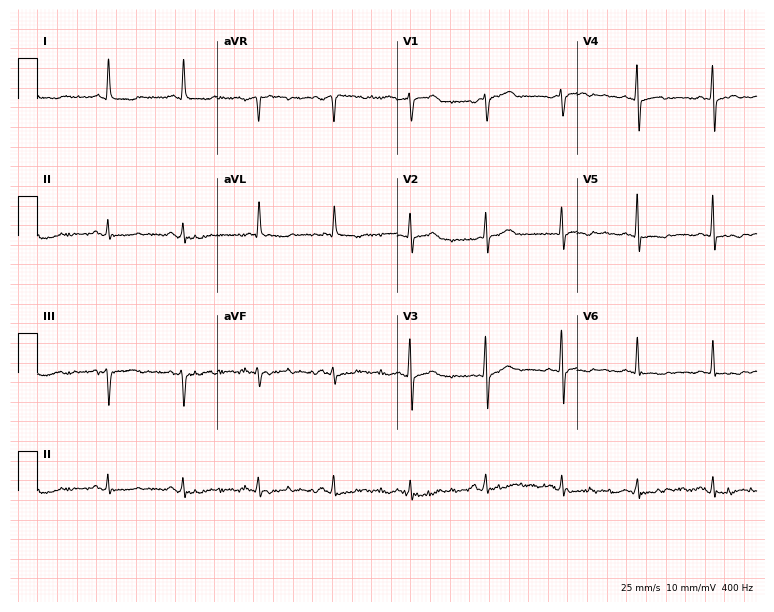
12-lead ECG from a female patient, 83 years old (7.3-second recording at 400 Hz). No first-degree AV block, right bundle branch block, left bundle branch block, sinus bradycardia, atrial fibrillation or sinus tachycardia recorded for this tracing.